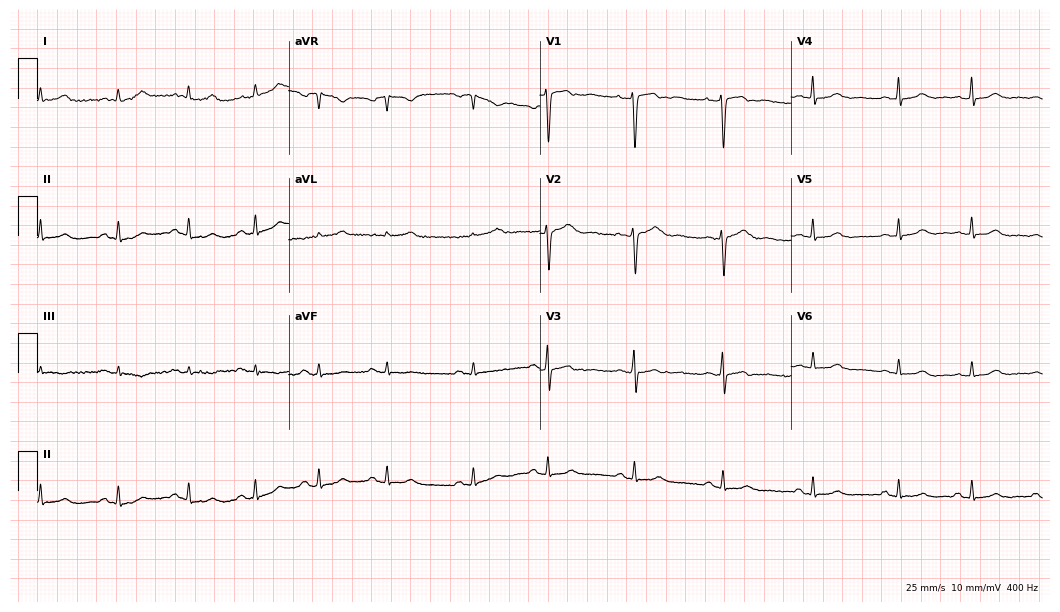
Standard 12-lead ECG recorded from a 23-year-old woman (10.2-second recording at 400 Hz). Read as a normal ECG.